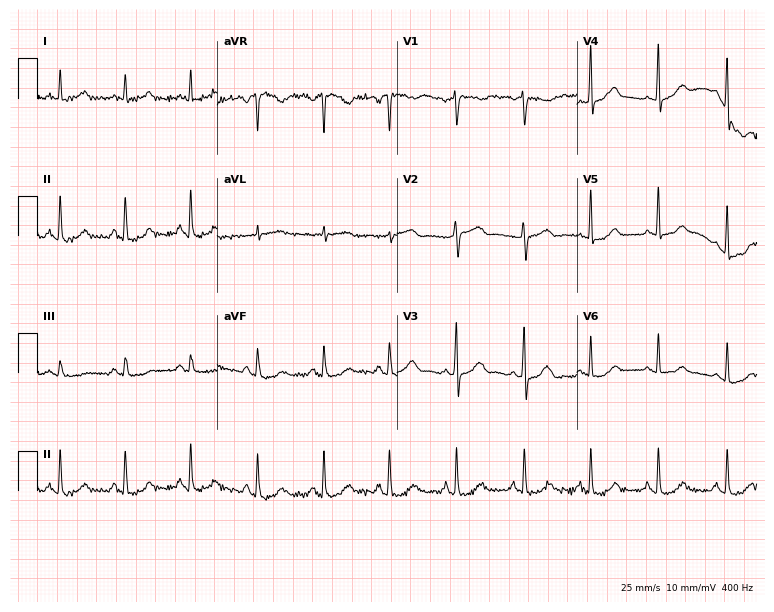
Standard 12-lead ECG recorded from a 54-year-old female (7.3-second recording at 400 Hz). None of these six findings is recorded: first-degree AV block, right bundle branch block, left bundle branch block, sinus bradycardia, atrial fibrillation, sinus tachycardia.